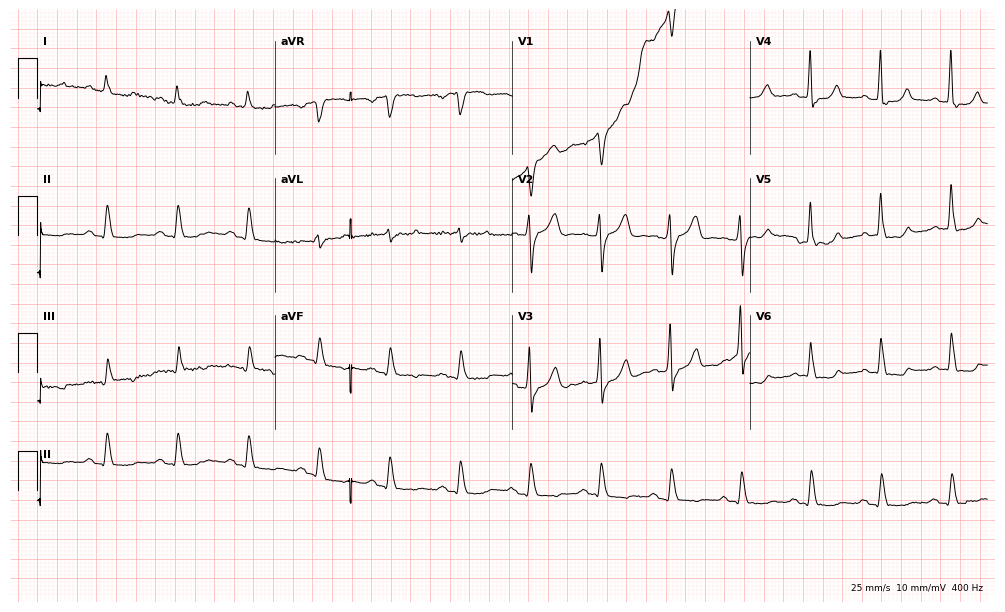
12-lead ECG (9.7-second recording at 400 Hz) from a 74-year-old man. Screened for six findings — first-degree AV block, right bundle branch block, left bundle branch block, sinus bradycardia, atrial fibrillation, sinus tachycardia — none is recorded. Other findings, if any, are not listed.